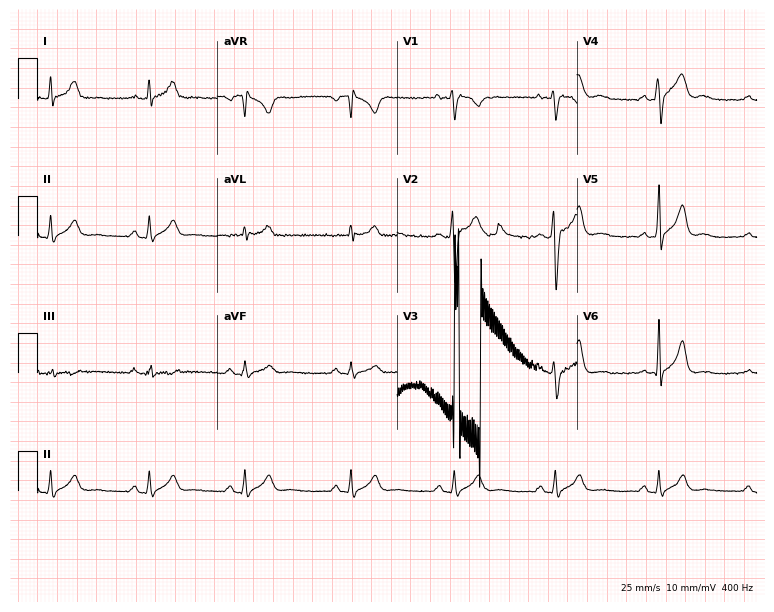
ECG — a man, 23 years old. Screened for six findings — first-degree AV block, right bundle branch block, left bundle branch block, sinus bradycardia, atrial fibrillation, sinus tachycardia — none is recorded. Only these six findings were labelled.